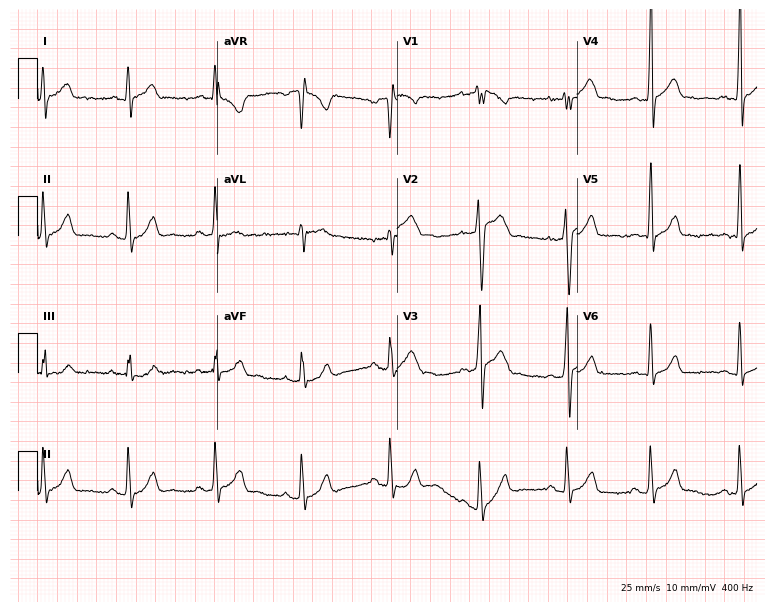
Electrocardiogram (7.3-second recording at 400 Hz), a 24-year-old male. Overall reading on record: normal ECG.